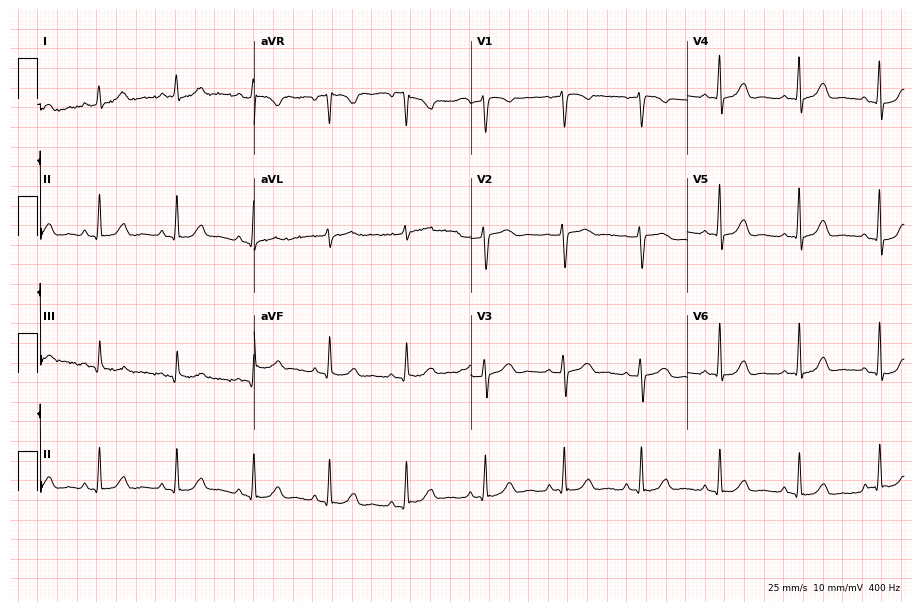
12-lead ECG from a 62-year-old woman. Screened for six findings — first-degree AV block, right bundle branch block (RBBB), left bundle branch block (LBBB), sinus bradycardia, atrial fibrillation (AF), sinus tachycardia — none is recorded.